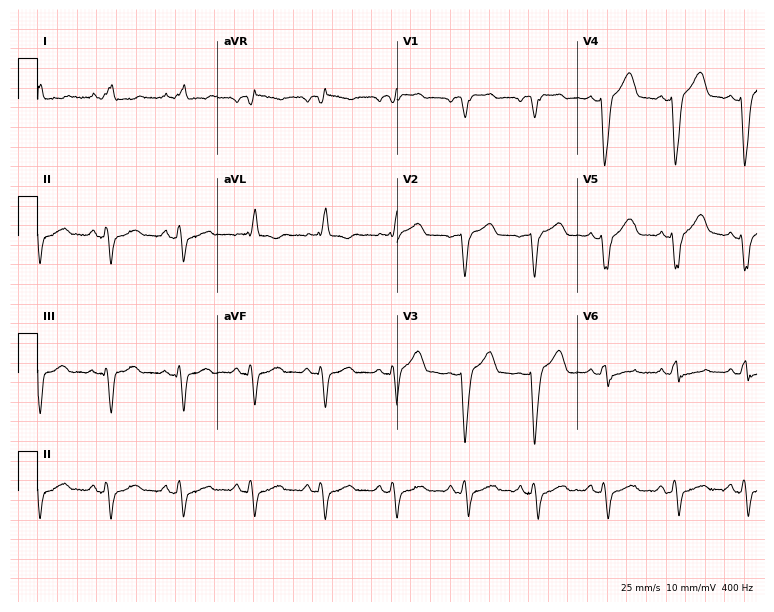
12-lead ECG from a 76-year-old male patient. Shows left bundle branch block.